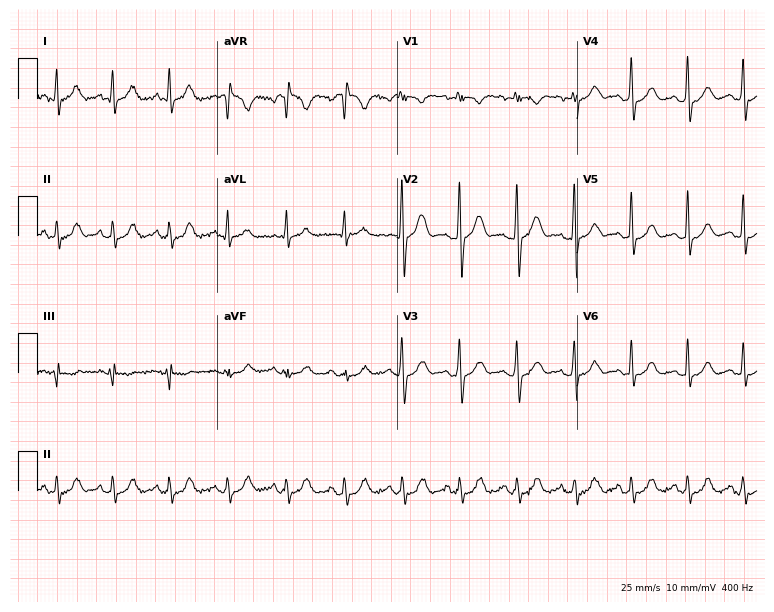
ECG — a man, 33 years old. Findings include sinus tachycardia (a sinus rate of 100 beats per minute or more).